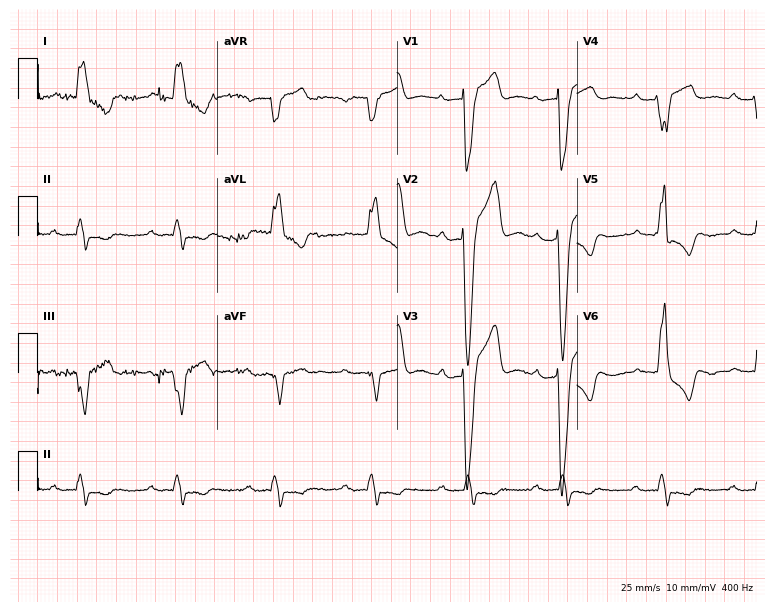
12-lead ECG (7.3-second recording at 400 Hz) from a 77-year-old man. Findings include first-degree AV block, left bundle branch block.